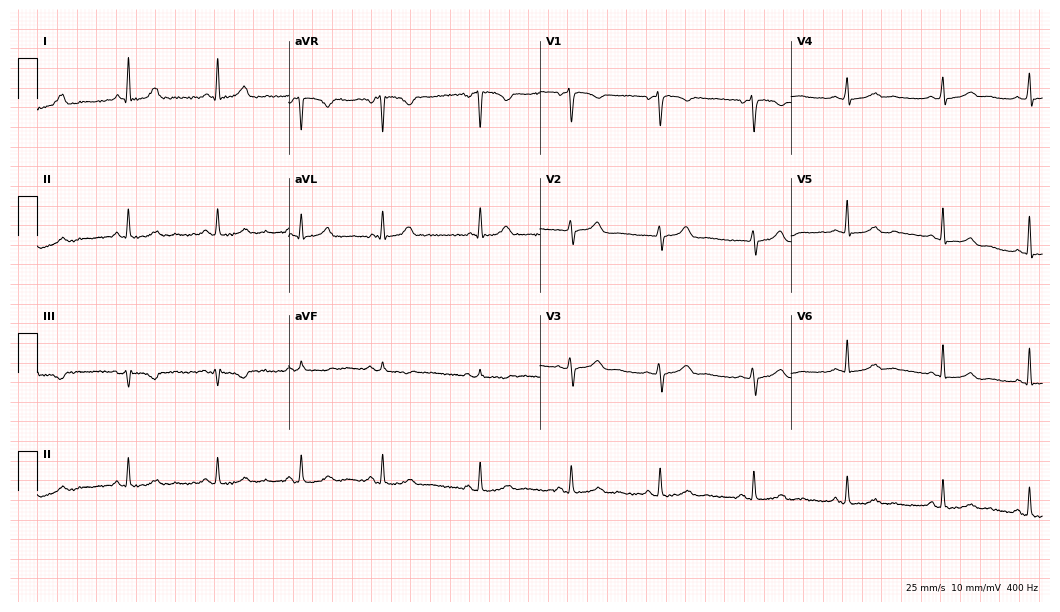
ECG — a female patient, 37 years old. Labelled as a normal ECG.